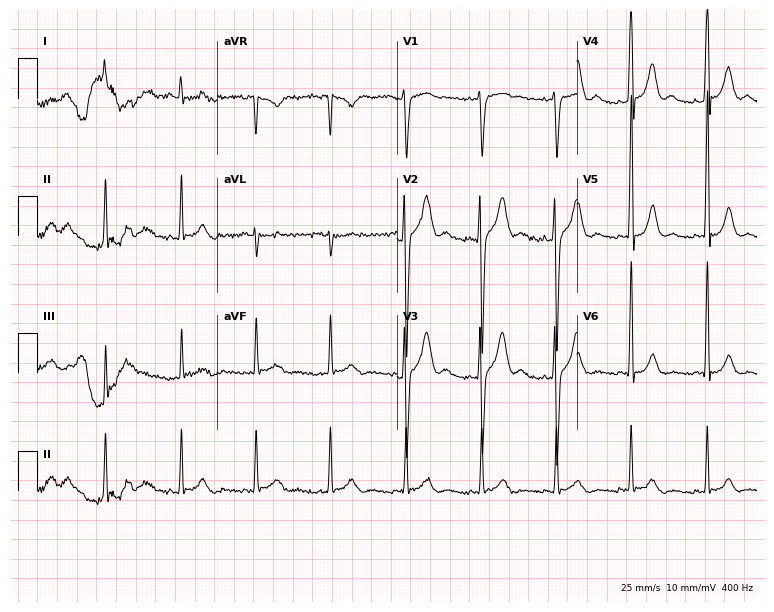
Standard 12-lead ECG recorded from a man, 18 years old (7.3-second recording at 400 Hz). None of these six findings is recorded: first-degree AV block, right bundle branch block (RBBB), left bundle branch block (LBBB), sinus bradycardia, atrial fibrillation (AF), sinus tachycardia. Other findings, if any, are not listed.